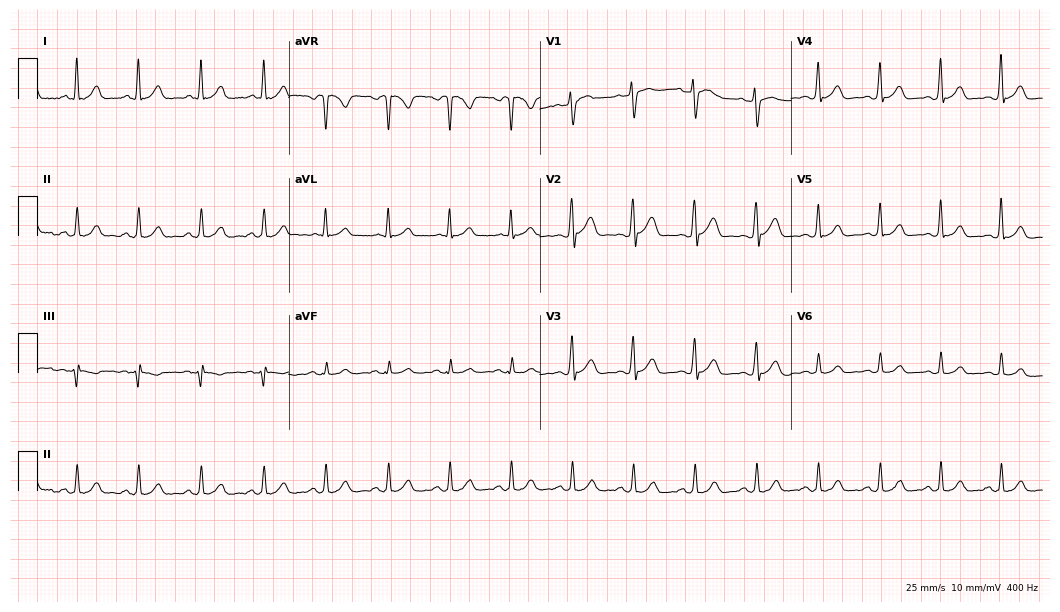
12-lead ECG from a 45-year-old male (10.2-second recording at 400 Hz). Recorded interpretation: within normal limits.